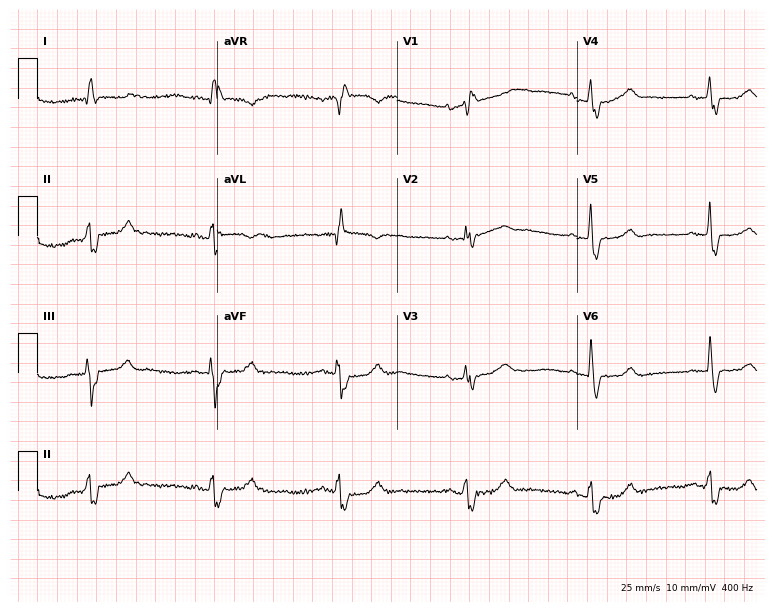
Electrocardiogram (7.3-second recording at 400 Hz), a 71-year-old female patient. Interpretation includes right bundle branch block.